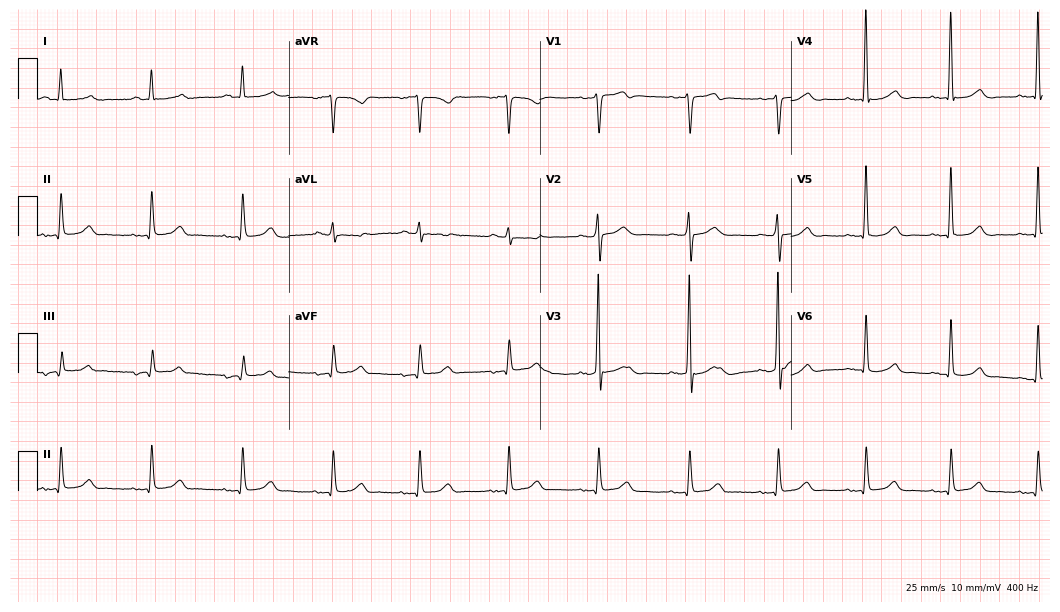
Resting 12-lead electrocardiogram (10.2-second recording at 400 Hz). Patient: a male, 82 years old. Read as a normal ECG.